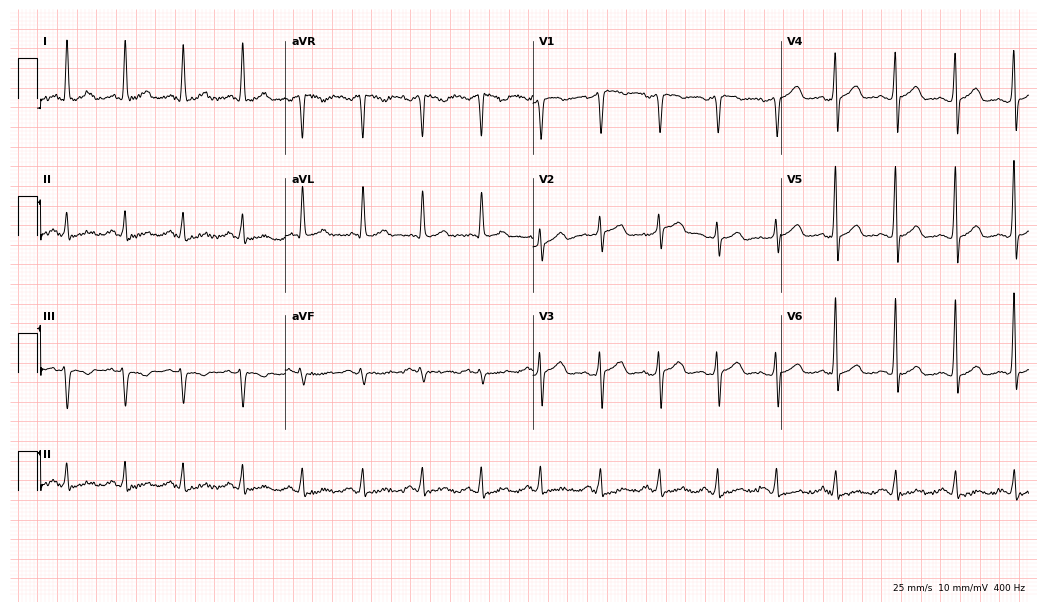
Standard 12-lead ECG recorded from a female patient, 50 years old (10.1-second recording at 400 Hz). Read as a normal ECG.